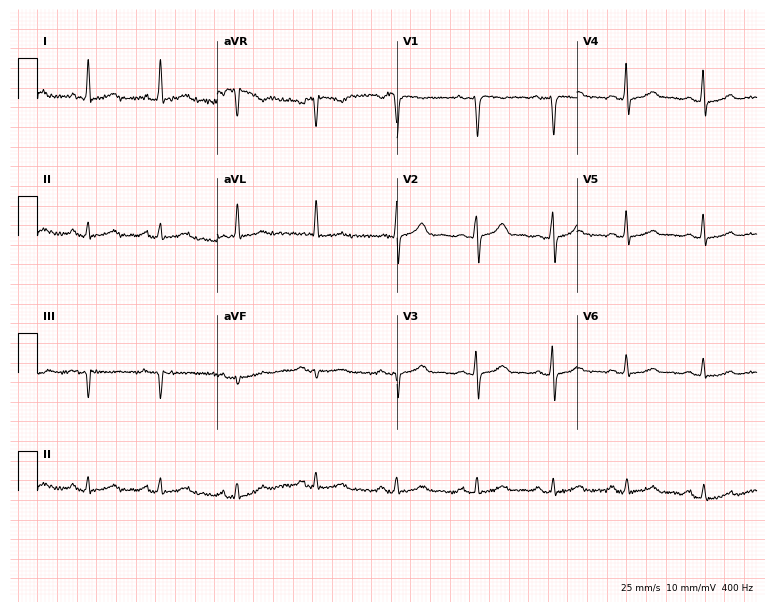
Electrocardiogram (7.3-second recording at 400 Hz), a female patient, 31 years old. Overall reading on record: normal ECG.